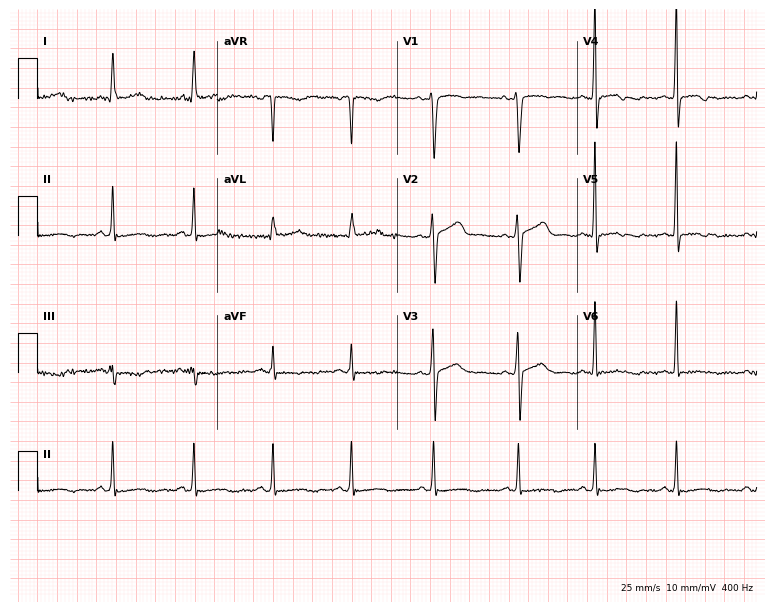
Standard 12-lead ECG recorded from a 35-year-old woman. None of these six findings is recorded: first-degree AV block, right bundle branch block (RBBB), left bundle branch block (LBBB), sinus bradycardia, atrial fibrillation (AF), sinus tachycardia. Only these six findings were labelled.